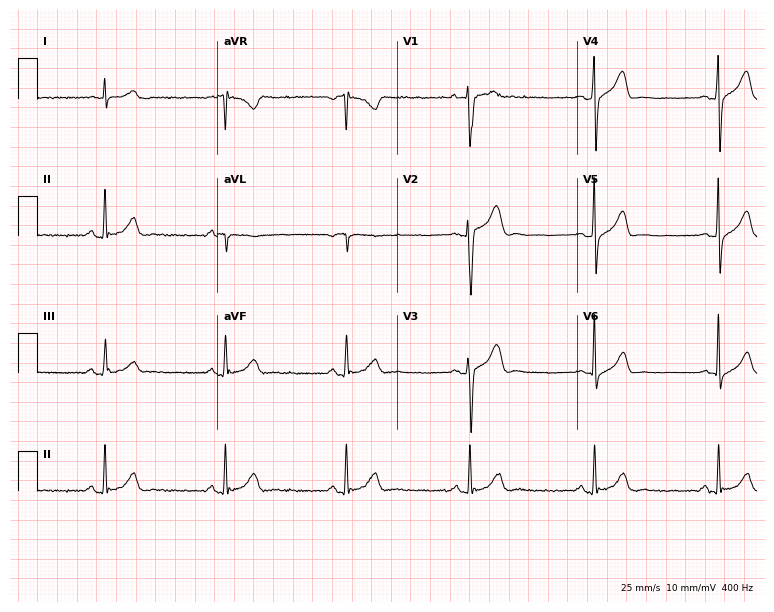
12-lead ECG from a 27-year-old male. Findings include sinus bradycardia (a sinus rate of 50 beats per minute or less).